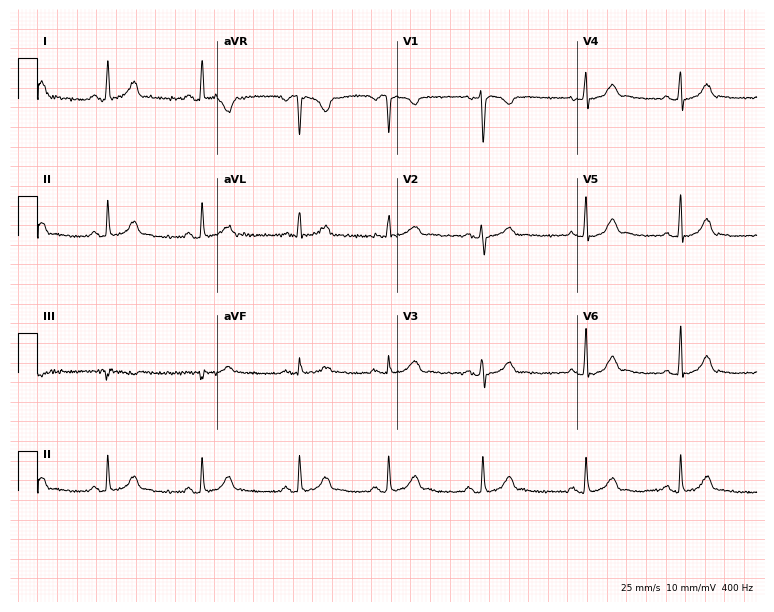
12-lead ECG from a female patient, 30 years old. Recorded interpretation: within normal limits.